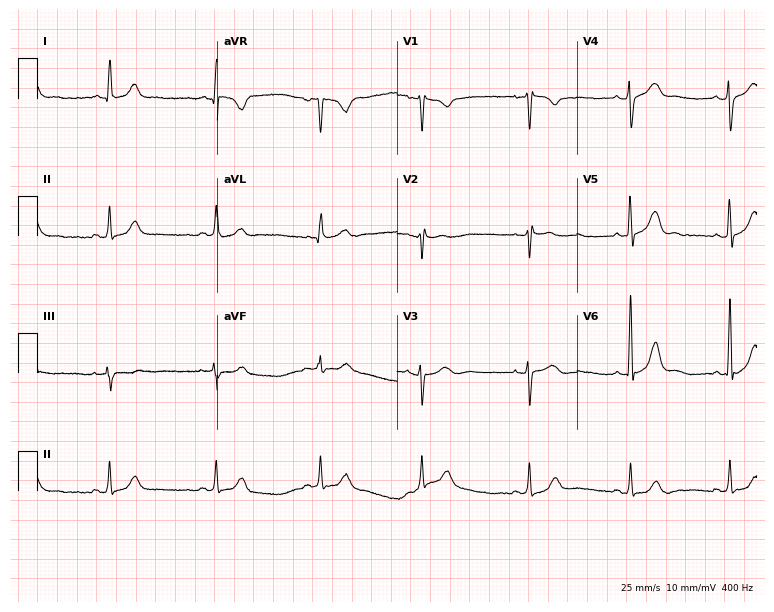
12-lead ECG from a female patient, 37 years old (7.3-second recording at 400 Hz). No first-degree AV block, right bundle branch block (RBBB), left bundle branch block (LBBB), sinus bradycardia, atrial fibrillation (AF) or sinus tachycardia recorded for this tracing. Findings outside these six are not listed.